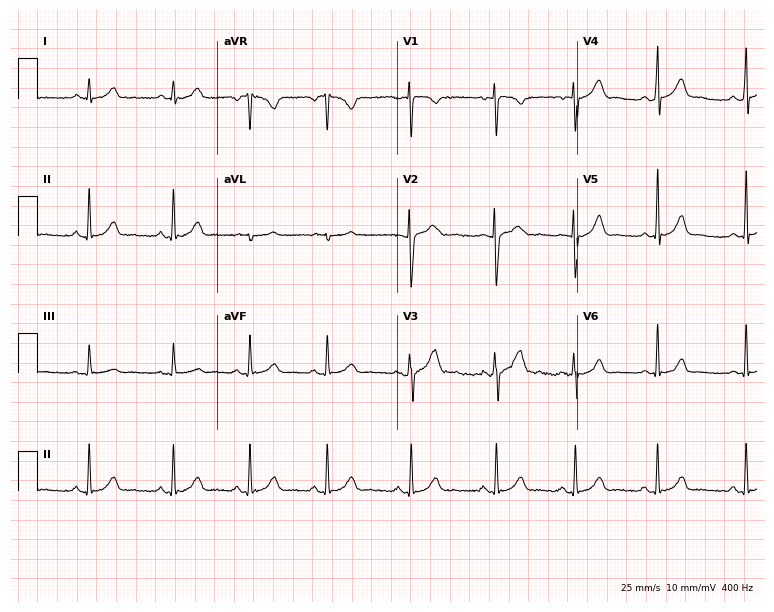
Electrocardiogram, a woman, 26 years old. Overall reading on record: normal ECG.